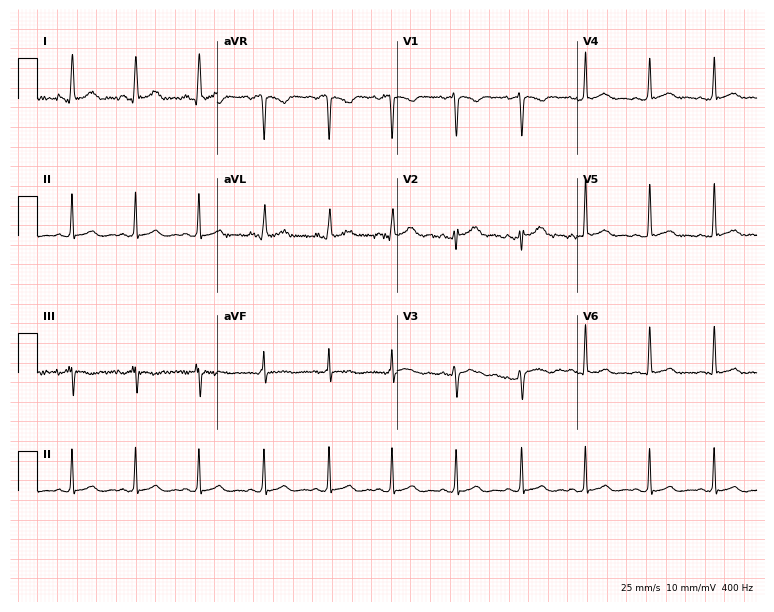
Resting 12-lead electrocardiogram (7.3-second recording at 400 Hz). Patient: a female, 18 years old. Read as a normal ECG.